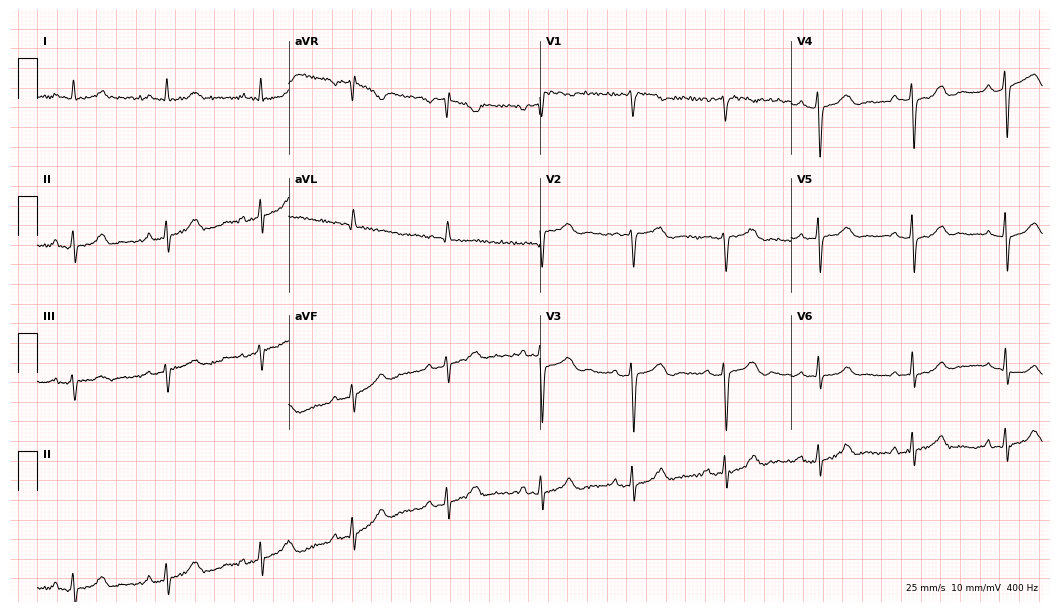
12-lead ECG from a woman, 56 years old (10.2-second recording at 400 Hz). Recorded interpretation: within normal limits.